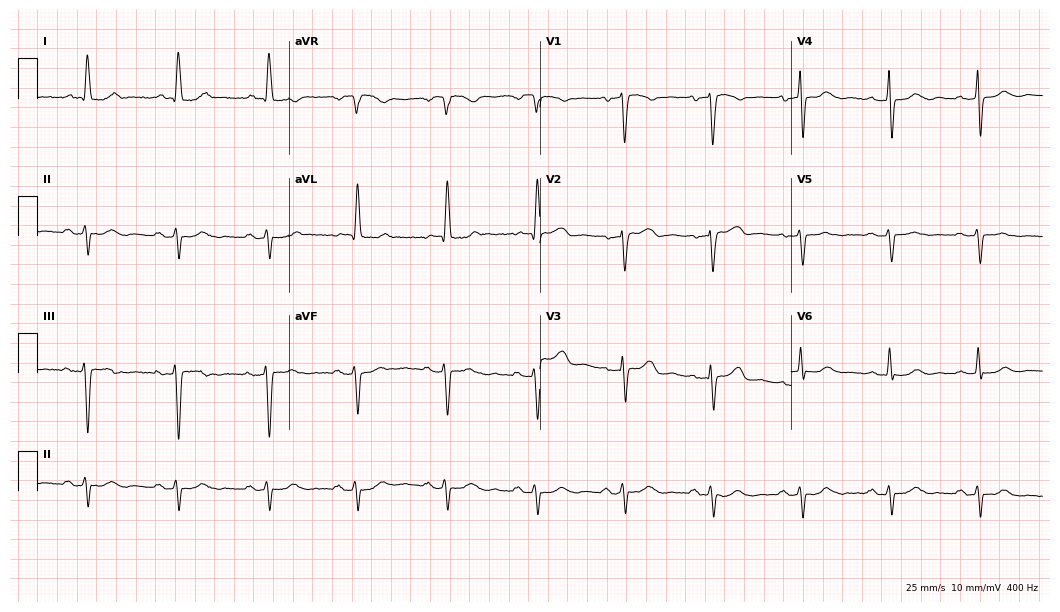
ECG — a female, 61 years old. Screened for six findings — first-degree AV block, right bundle branch block, left bundle branch block, sinus bradycardia, atrial fibrillation, sinus tachycardia — none is recorded.